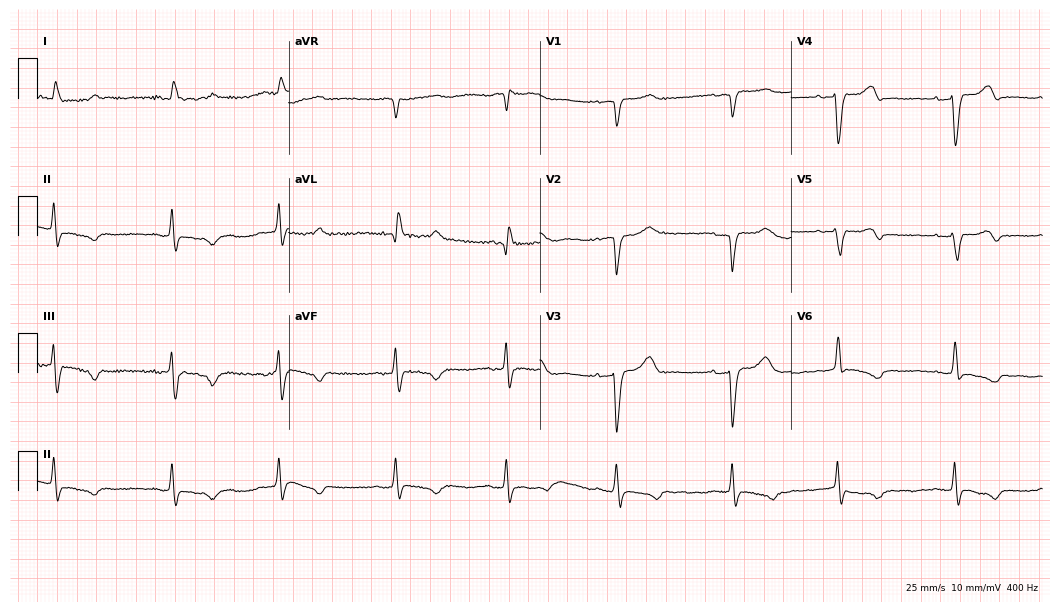
Standard 12-lead ECG recorded from a woman, 82 years old. None of these six findings is recorded: first-degree AV block, right bundle branch block, left bundle branch block, sinus bradycardia, atrial fibrillation, sinus tachycardia. Other findings, if any, are not listed.